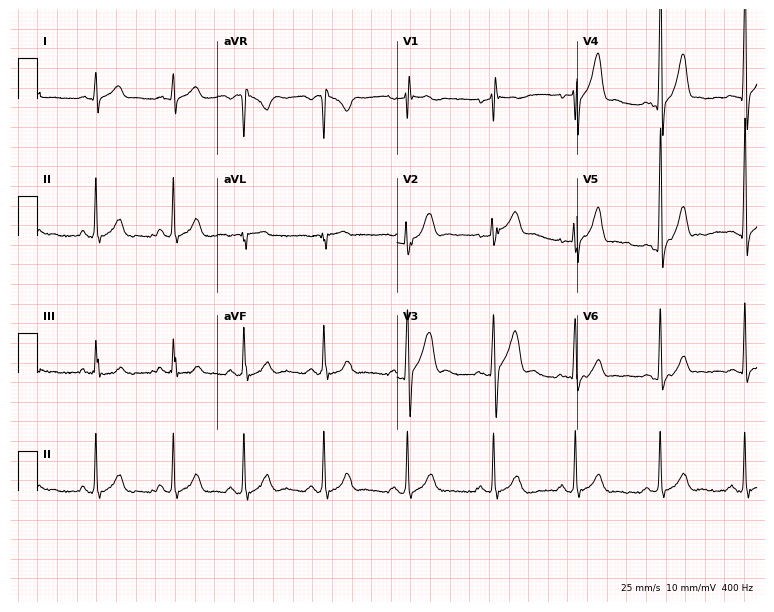
Electrocardiogram (7.3-second recording at 400 Hz), a male patient, 26 years old. Overall reading on record: normal ECG.